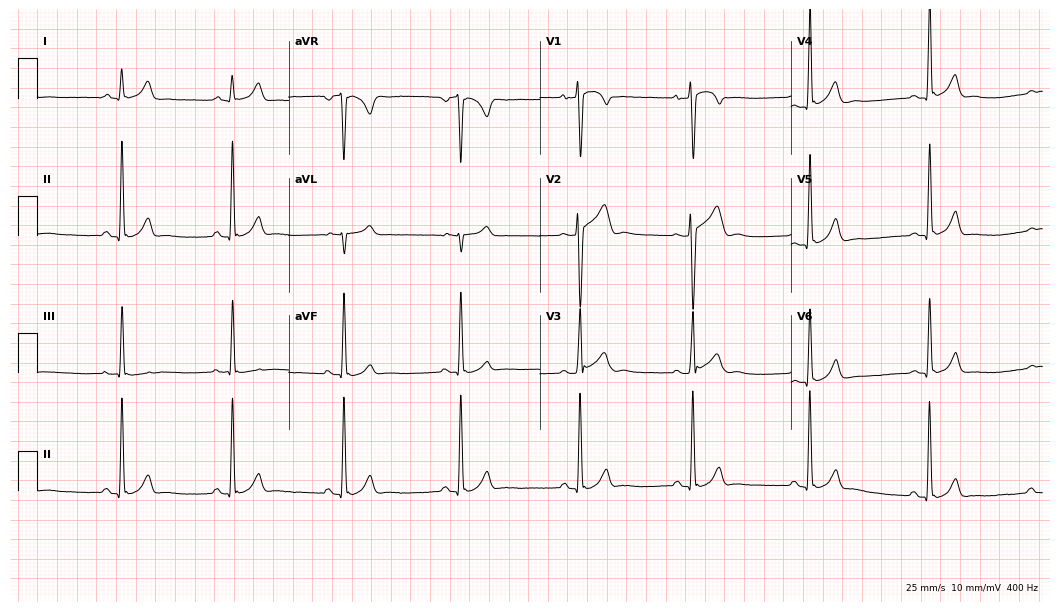
12-lead ECG (10.2-second recording at 400 Hz) from a 33-year-old male. Labelled as a normal ECG.